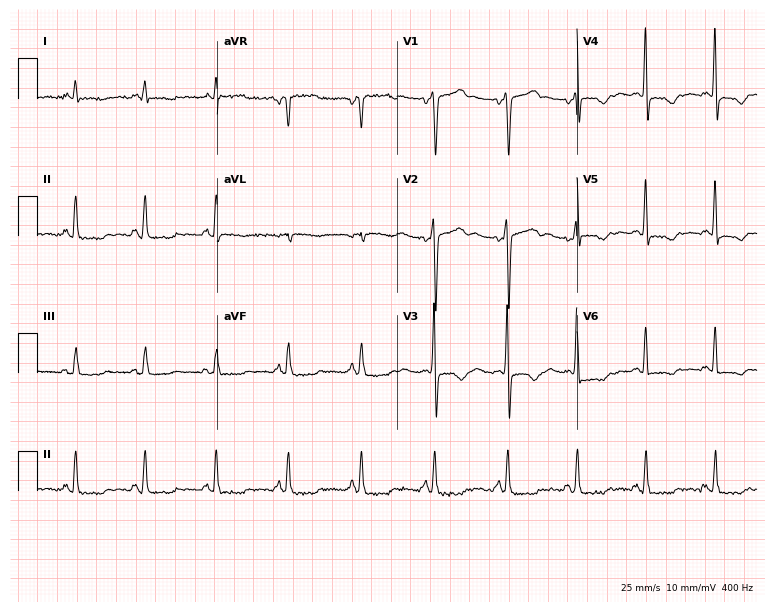
12-lead ECG (7.3-second recording at 400 Hz) from a male patient, 52 years old. Screened for six findings — first-degree AV block, right bundle branch block (RBBB), left bundle branch block (LBBB), sinus bradycardia, atrial fibrillation (AF), sinus tachycardia — none is recorded.